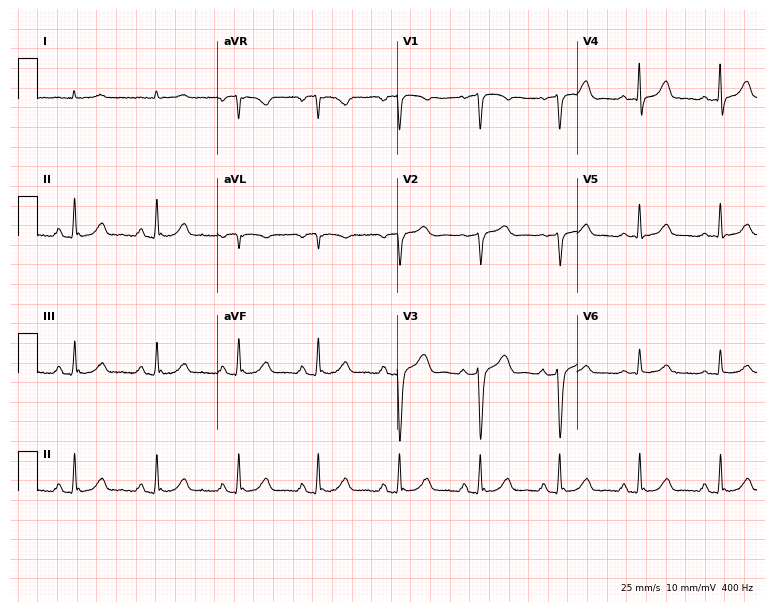
Resting 12-lead electrocardiogram (7.3-second recording at 400 Hz). Patient: a 57-year-old male. Read as a normal ECG.